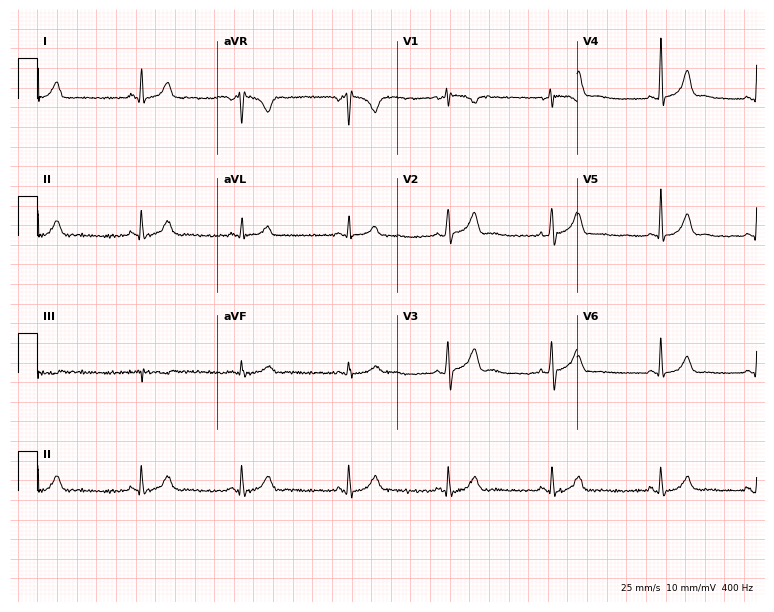
12-lead ECG from a female, 31 years old. Labelled as a normal ECG.